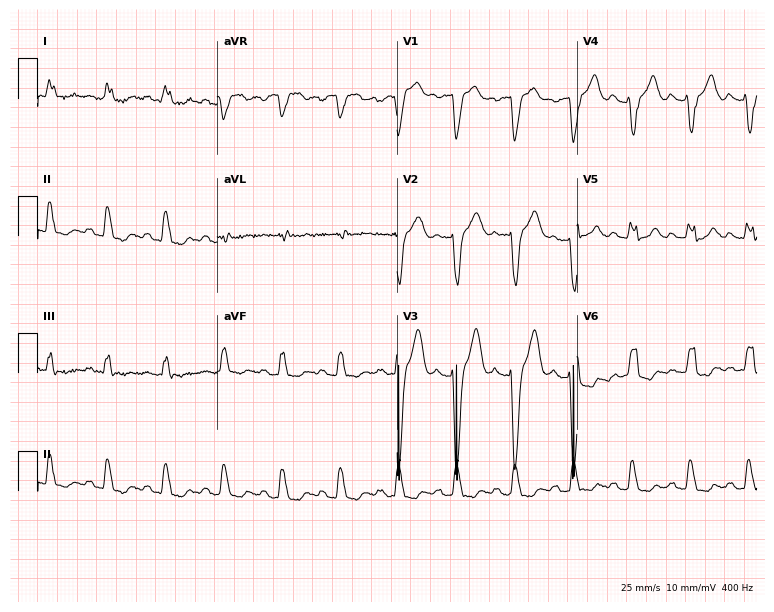
Resting 12-lead electrocardiogram (7.3-second recording at 400 Hz). Patient: a 51-year-old woman. The tracing shows left bundle branch block, sinus tachycardia (a sinus rate of 100 beats per minute or more).